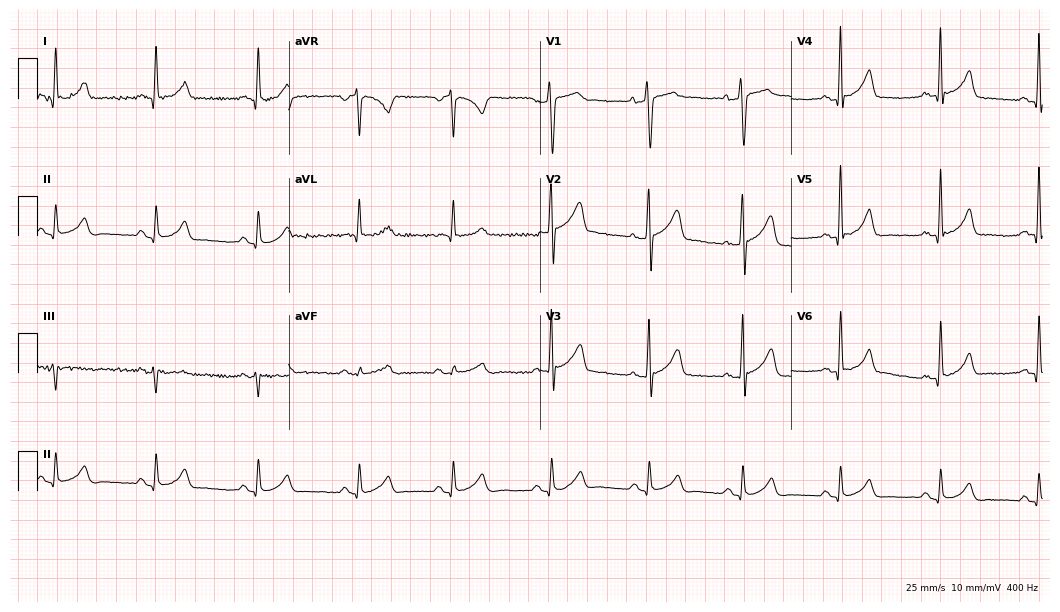
12-lead ECG (10.2-second recording at 400 Hz) from a male patient, 43 years old. Labelled as a normal ECG.